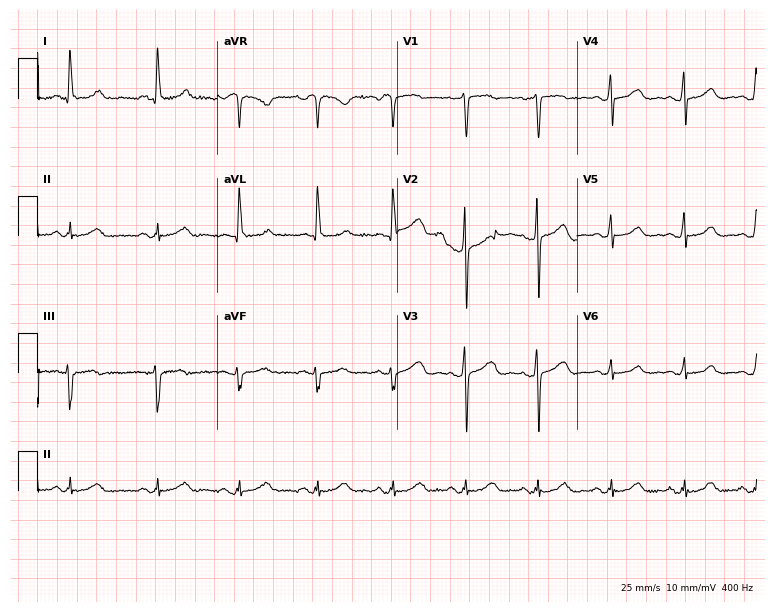
Electrocardiogram, a 61-year-old woman. Overall reading on record: normal ECG.